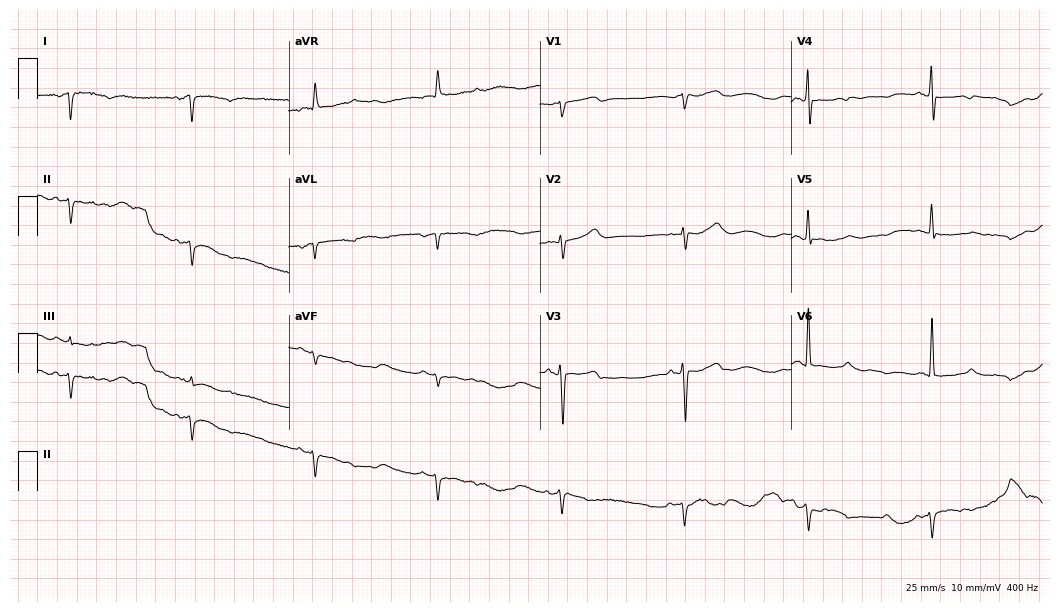
Standard 12-lead ECG recorded from an 85-year-old male (10.2-second recording at 400 Hz). None of these six findings is recorded: first-degree AV block, right bundle branch block, left bundle branch block, sinus bradycardia, atrial fibrillation, sinus tachycardia. Only these six findings were labelled.